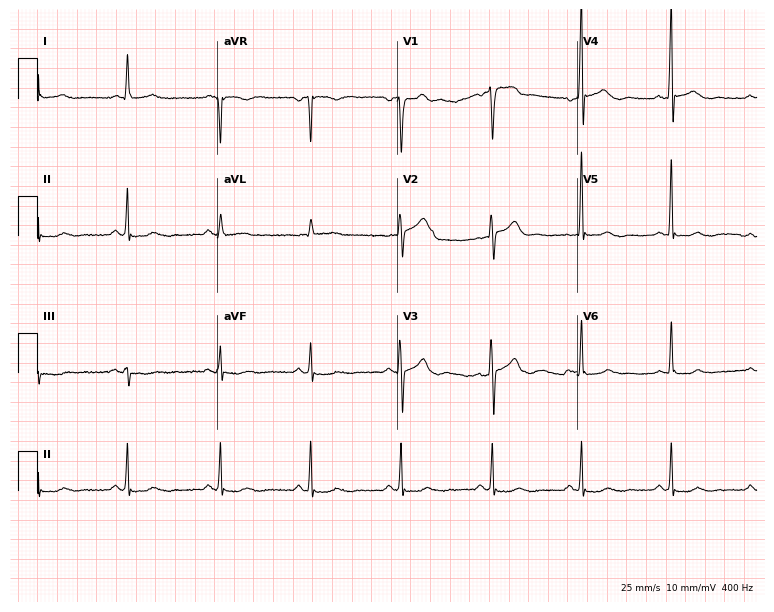
Standard 12-lead ECG recorded from a 68-year-old male (7.3-second recording at 400 Hz). None of these six findings is recorded: first-degree AV block, right bundle branch block, left bundle branch block, sinus bradycardia, atrial fibrillation, sinus tachycardia.